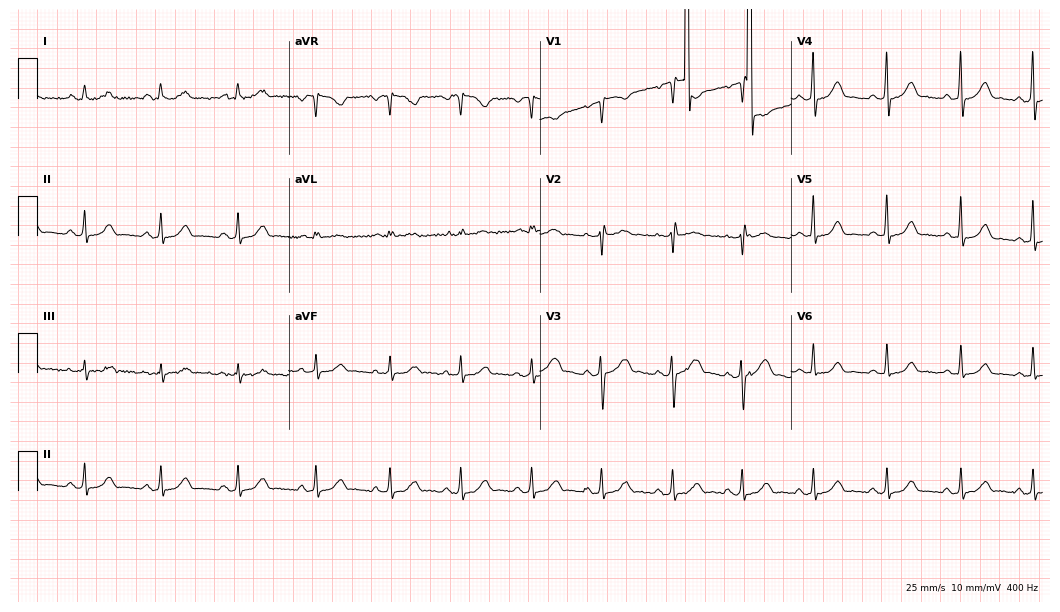
12-lead ECG from a 40-year-old female (10.2-second recording at 400 Hz). No first-degree AV block, right bundle branch block, left bundle branch block, sinus bradycardia, atrial fibrillation or sinus tachycardia recorded for this tracing.